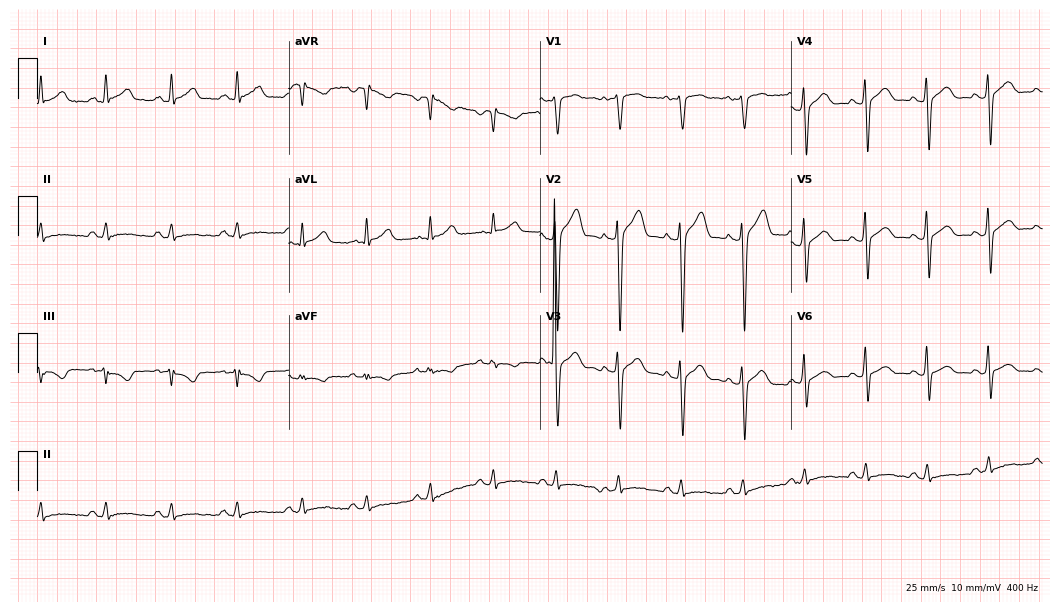
12-lead ECG from a 40-year-old man. Recorded interpretation: within normal limits.